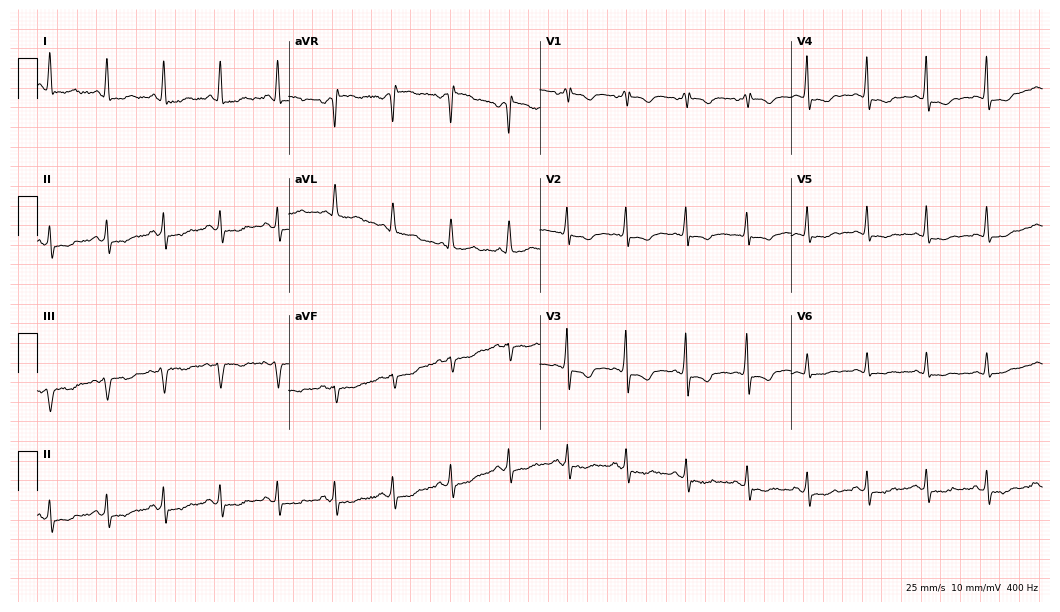
Electrocardiogram (10.2-second recording at 400 Hz), a 64-year-old woman. Of the six screened findings (first-degree AV block, right bundle branch block, left bundle branch block, sinus bradycardia, atrial fibrillation, sinus tachycardia), none is recorded.